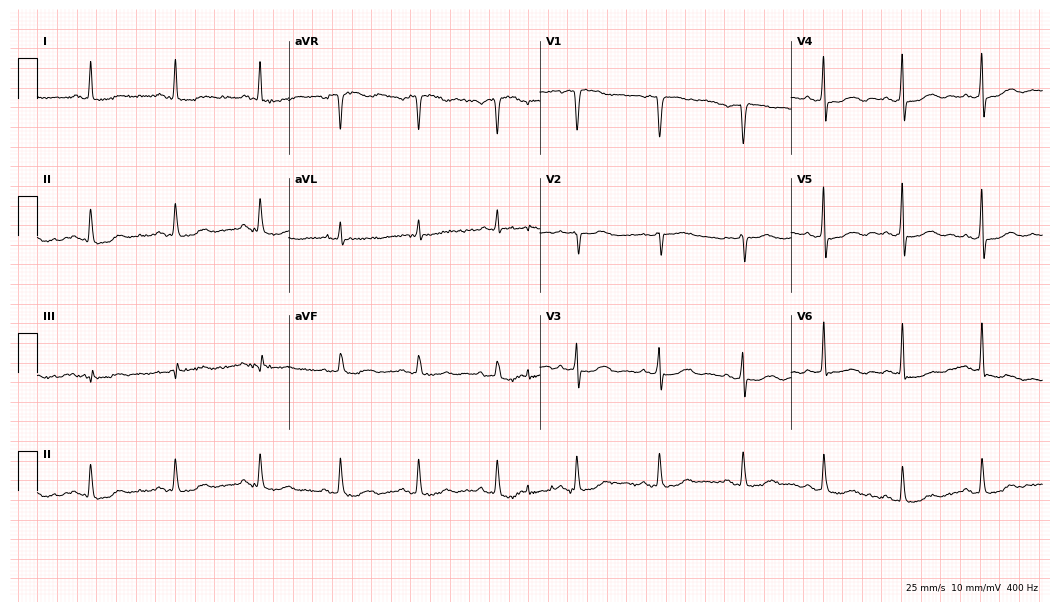
Electrocardiogram (10.2-second recording at 400 Hz), a female, 63 years old. Of the six screened findings (first-degree AV block, right bundle branch block, left bundle branch block, sinus bradycardia, atrial fibrillation, sinus tachycardia), none is recorded. Only these six findings were labelled.